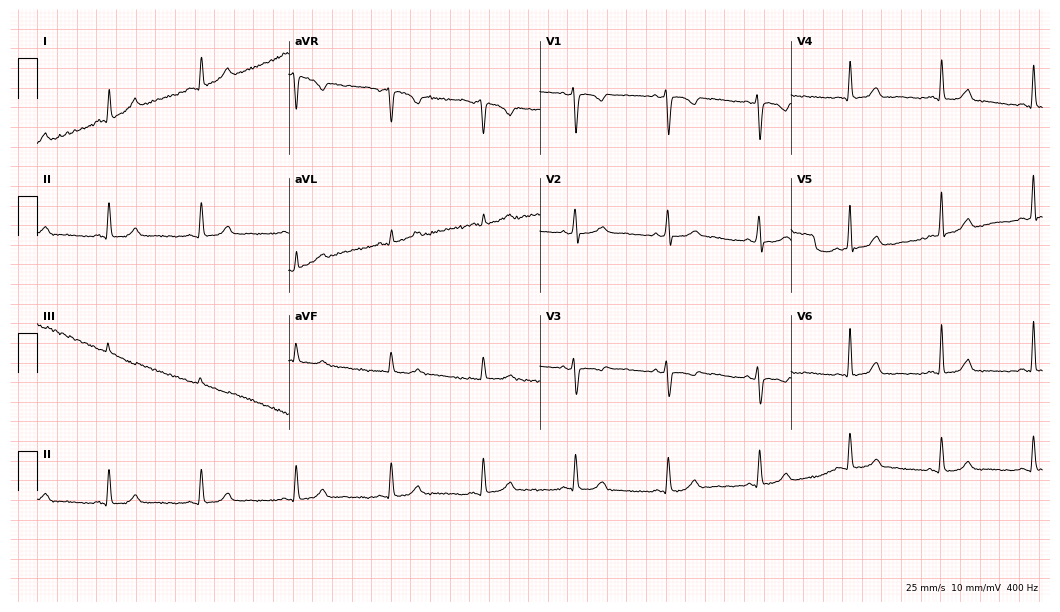
Standard 12-lead ECG recorded from a female, 46 years old (10.2-second recording at 400 Hz). Read as a normal ECG.